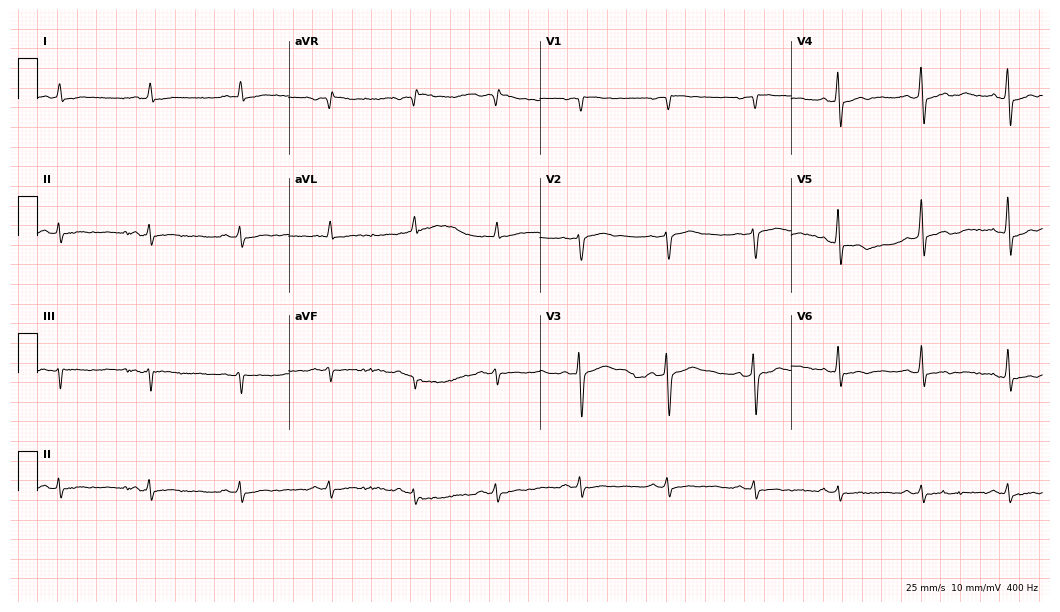
12-lead ECG from a man, 55 years old. No first-degree AV block, right bundle branch block, left bundle branch block, sinus bradycardia, atrial fibrillation or sinus tachycardia recorded for this tracing. Findings outside these six are not listed.